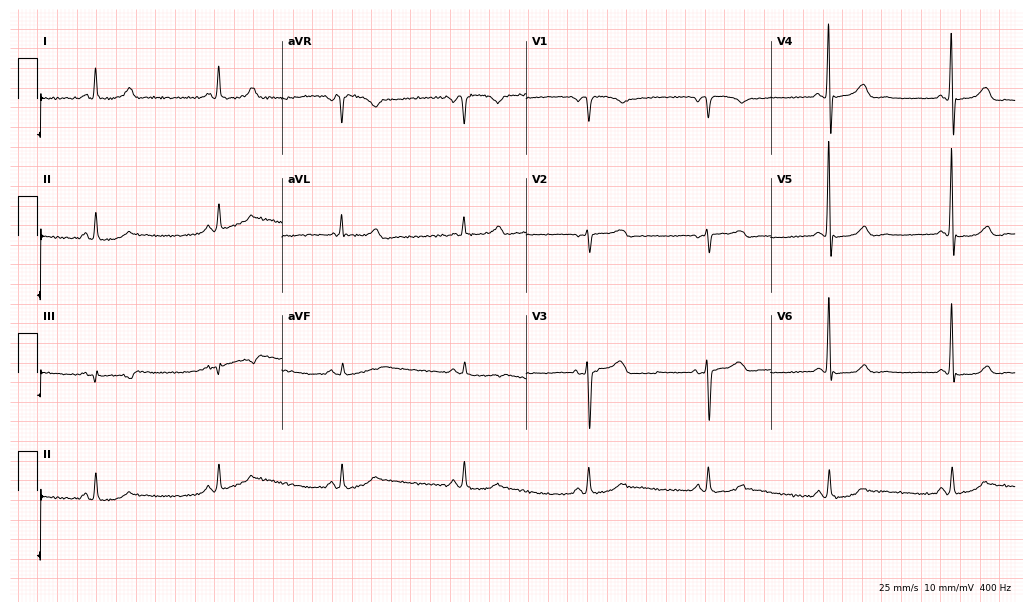
ECG — a 44-year-old female. Screened for six findings — first-degree AV block, right bundle branch block, left bundle branch block, sinus bradycardia, atrial fibrillation, sinus tachycardia — none is recorded. Other findings, if any, are not listed.